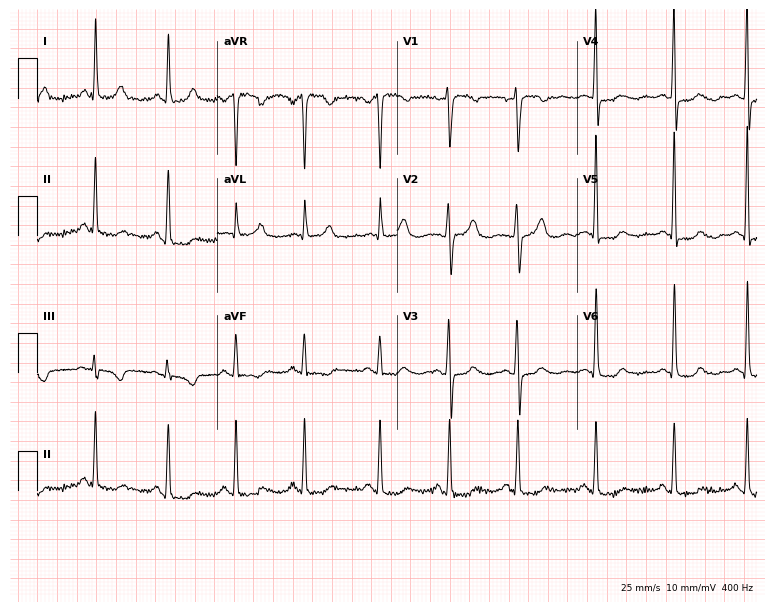
Electrocardiogram (7.3-second recording at 400 Hz), a 51-year-old female. Of the six screened findings (first-degree AV block, right bundle branch block, left bundle branch block, sinus bradycardia, atrial fibrillation, sinus tachycardia), none is recorded.